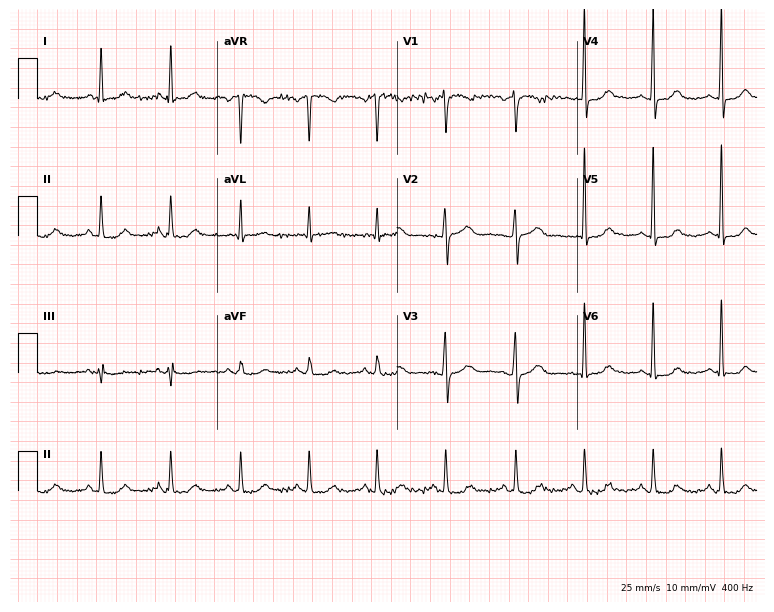
ECG (7.3-second recording at 400 Hz) — a 59-year-old woman. Labelled as a normal ECG.